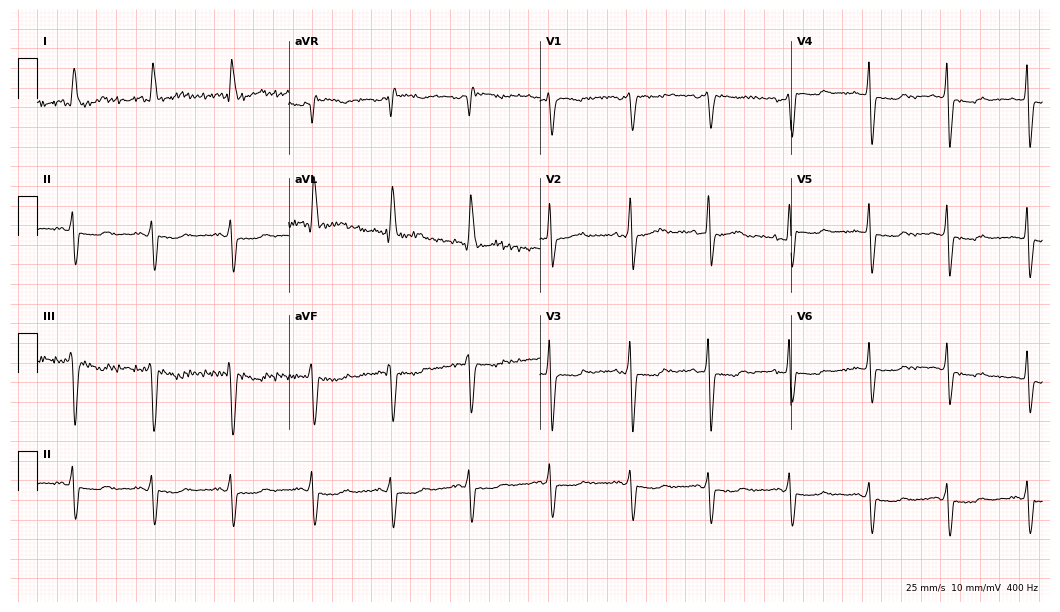
Standard 12-lead ECG recorded from a 52-year-old female patient (10.2-second recording at 400 Hz). None of these six findings is recorded: first-degree AV block, right bundle branch block (RBBB), left bundle branch block (LBBB), sinus bradycardia, atrial fibrillation (AF), sinus tachycardia. Only these six findings were labelled.